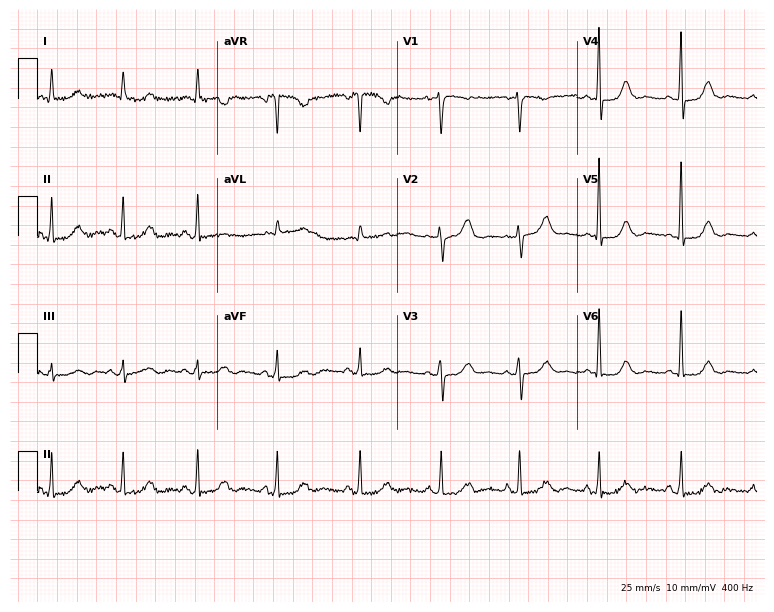
Standard 12-lead ECG recorded from a 56-year-old female (7.3-second recording at 400 Hz). None of these six findings is recorded: first-degree AV block, right bundle branch block, left bundle branch block, sinus bradycardia, atrial fibrillation, sinus tachycardia. Only these six findings were labelled.